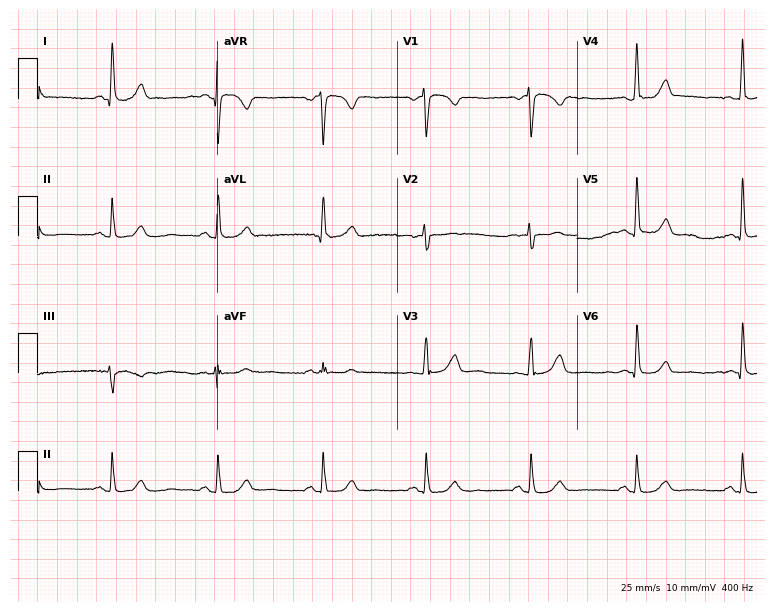
Resting 12-lead electrocardiogram. Patient: a 54-year-old female. None of these six findings is recorded: first-degree AV block, right bundle branch block, left bundle branch block, sinus bradycardia, atrial fibrillation, sinus tachycardia. Only these six findings were labelled.